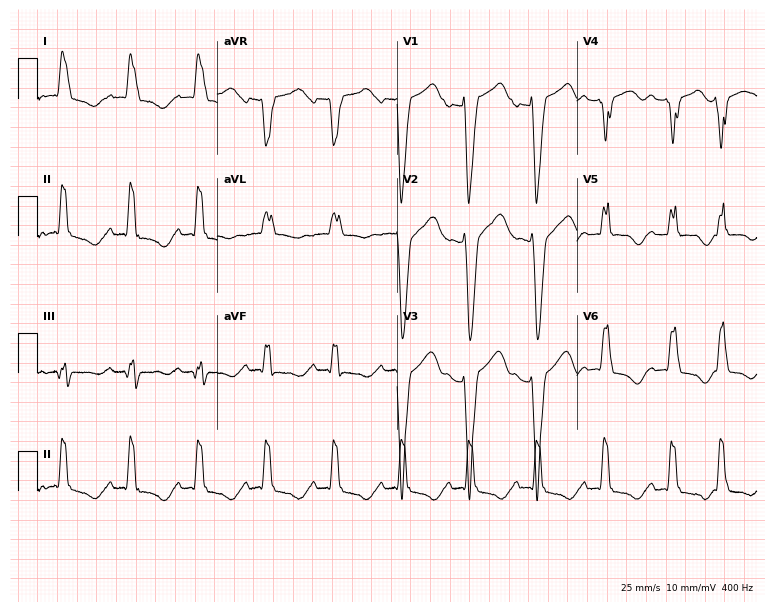
Electrocardiogram, a 70-year-old female. Interpretation includes left bundle branch block.